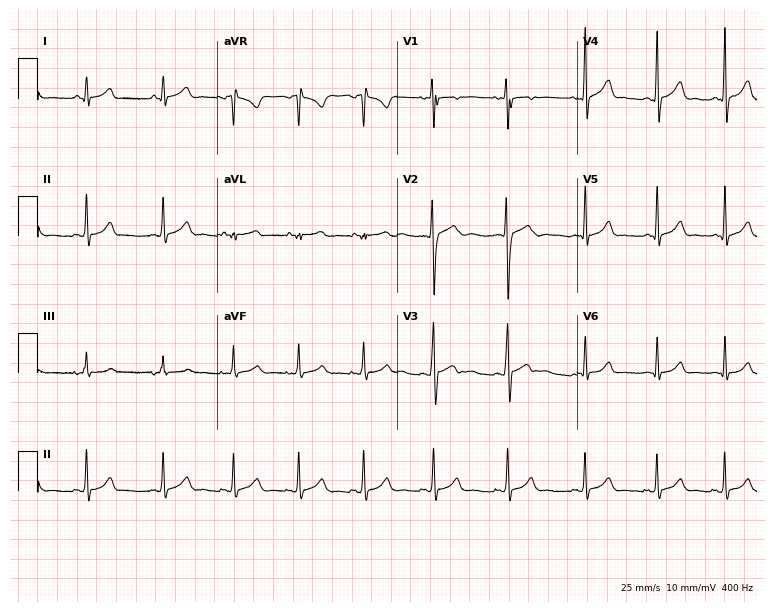
12-lead ECG (7.3-second recording at 400 Hz) from a 17-year-old male. Screened for six findings — first-degree AV block, right bundle branch block, left bundle branch block, sinus bradycardia, atrial fibrillation, sinus tachycardia — none is recorded.